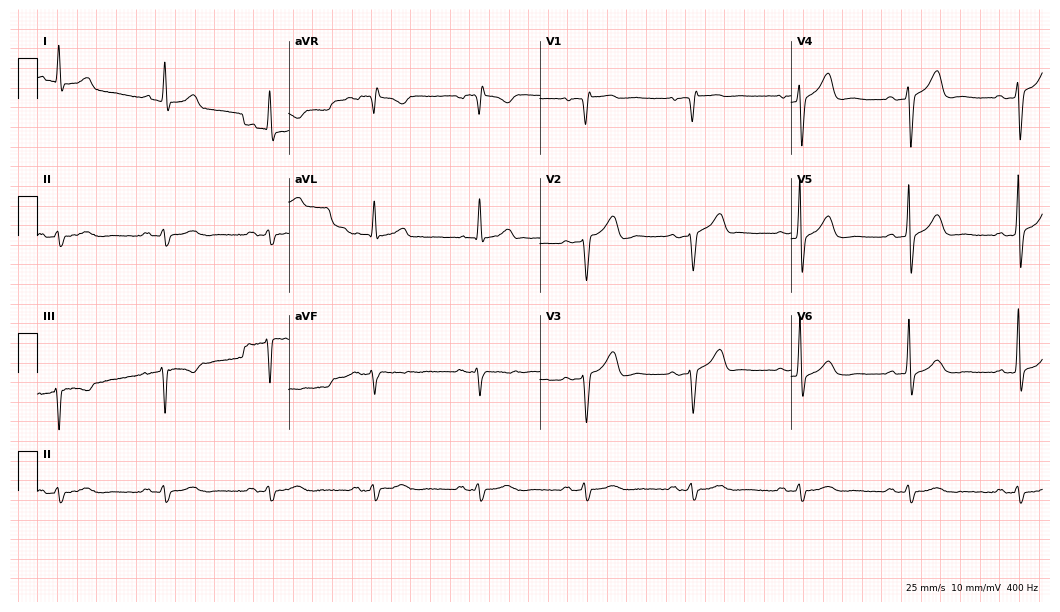
Electrocardiogram (10.2-second recording at 400 Hz), a man, 75 years old. Of the six screened findings (first-degree AV block, right bundle branch block (RBBB), left bundle branch block (LBBB), sinus bradycardia, atrial fibrillation (AF), sinus tachycardia), none is recorded.